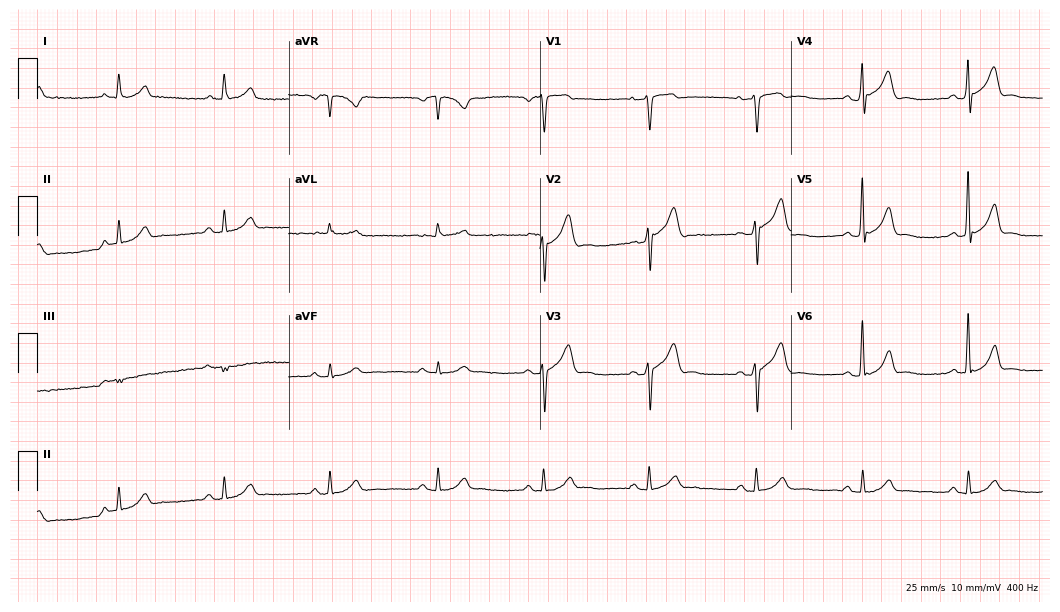
Standard 12-lead ECG recorded from a man, 53 years old (10.2-second recording at 400 Hz). Read as a normal ECG.